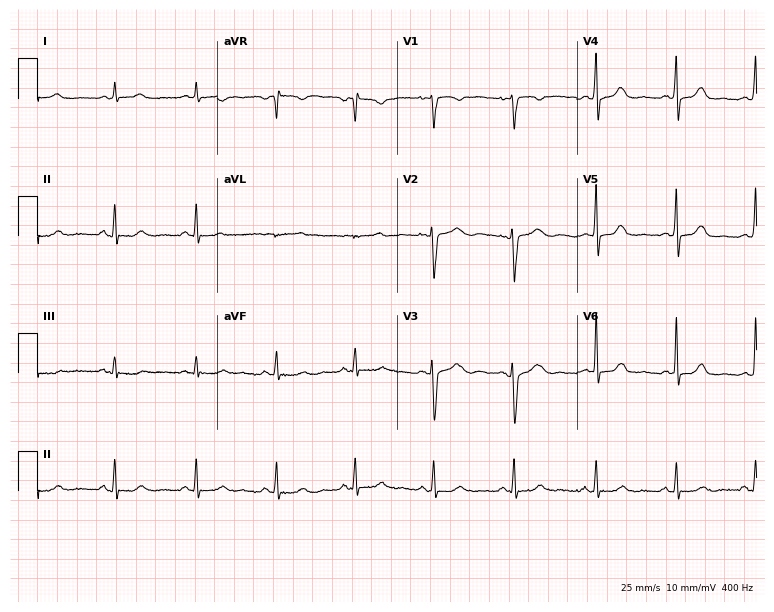
12-lead ECG from a female patient, 33 years old (7.3-second recording at 400 Hz). Recorded interpretation: within normal limits.